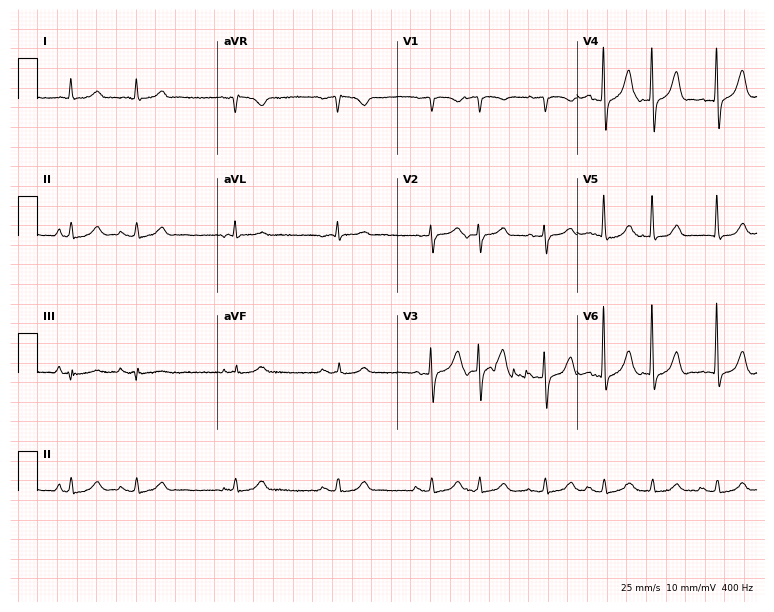
12-lead ECG from an 83-year-old male (7.3-second recording at 400 Hz). Recorded interpretation: within normal limits.